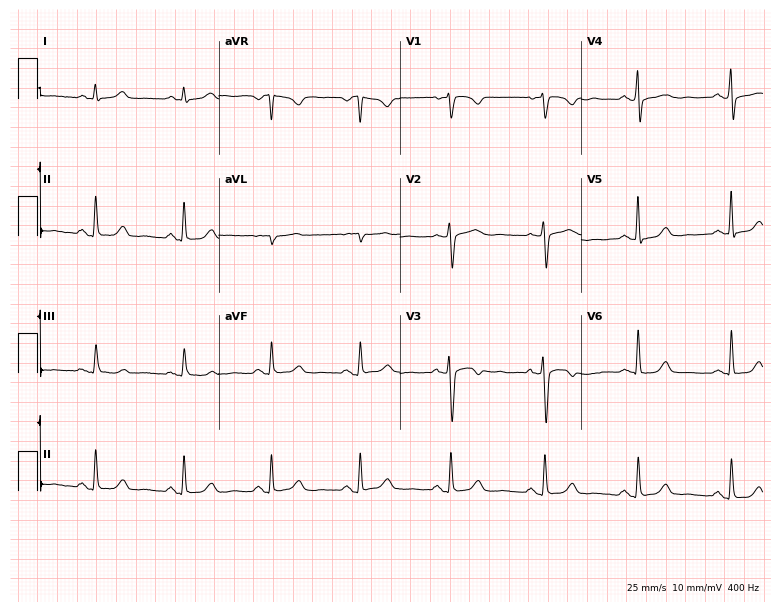
Standard 12-lead ECG recorded from a female, 55 years old. Read as a normal ECG.